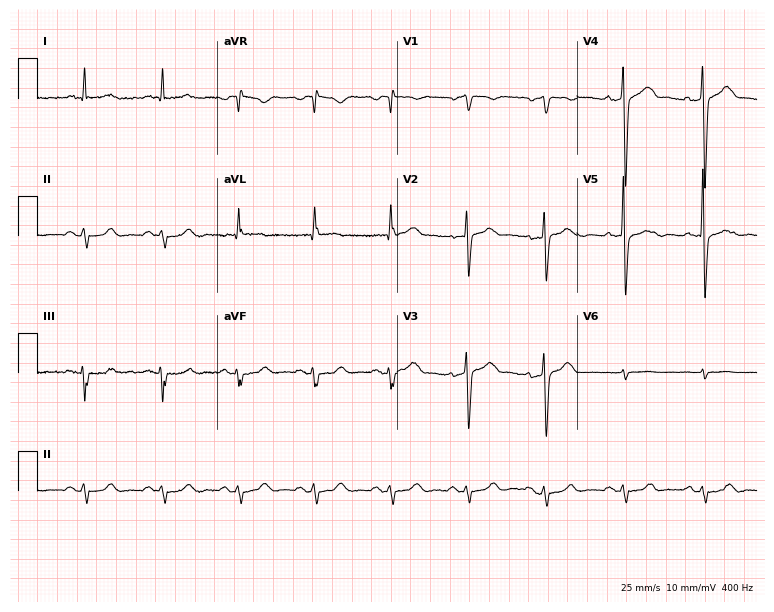
Electrocardiogram, a man, 73 years old. Of the six screened findings (first-degree AV block, right bundle branch block, left bundle branch block, sinus bradycardia, atrial fibrillation, sinus tachycardia), none is recorded. Findings outside these six are not listed.